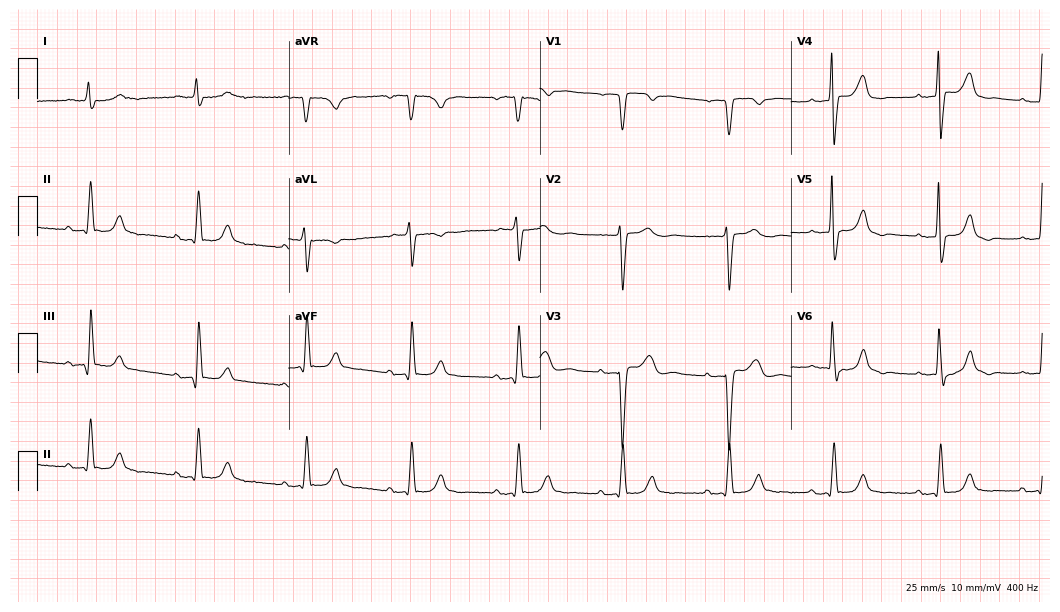
Electrocardiogram, a man, 66 years old. Of the six screened findings (first-degree AV block, right bundle branch block (RBBB), left bundle branch block (LBBB), sinus bradycardia, atrial fibrillation (AF), sinus tachycardia), none is recorded.